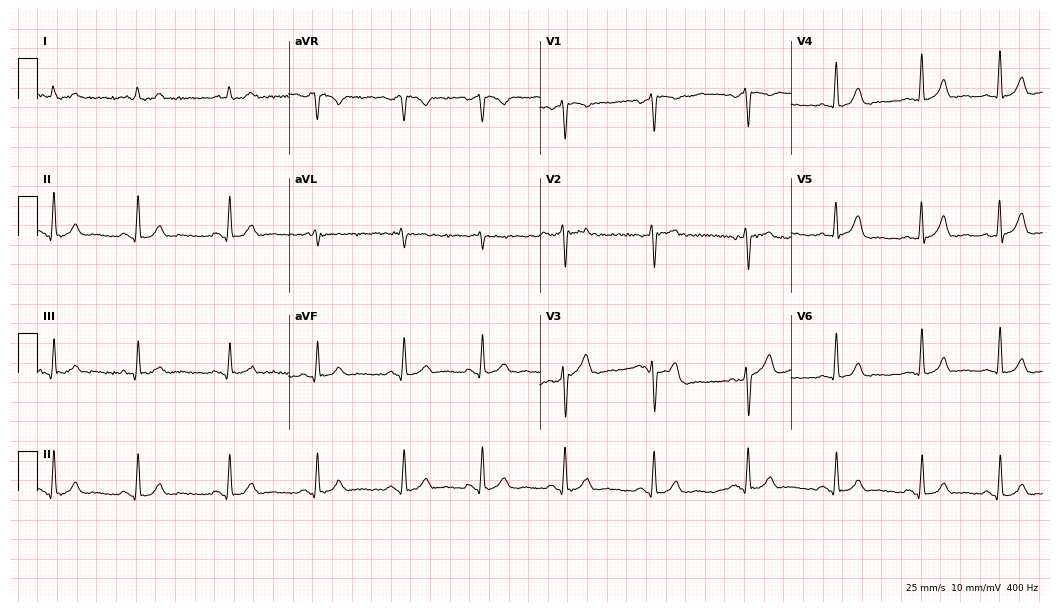
12-lead ECG (10.2-second recording at 400 Hz) from a 49-year-old male. Labelled as a normal ECG.